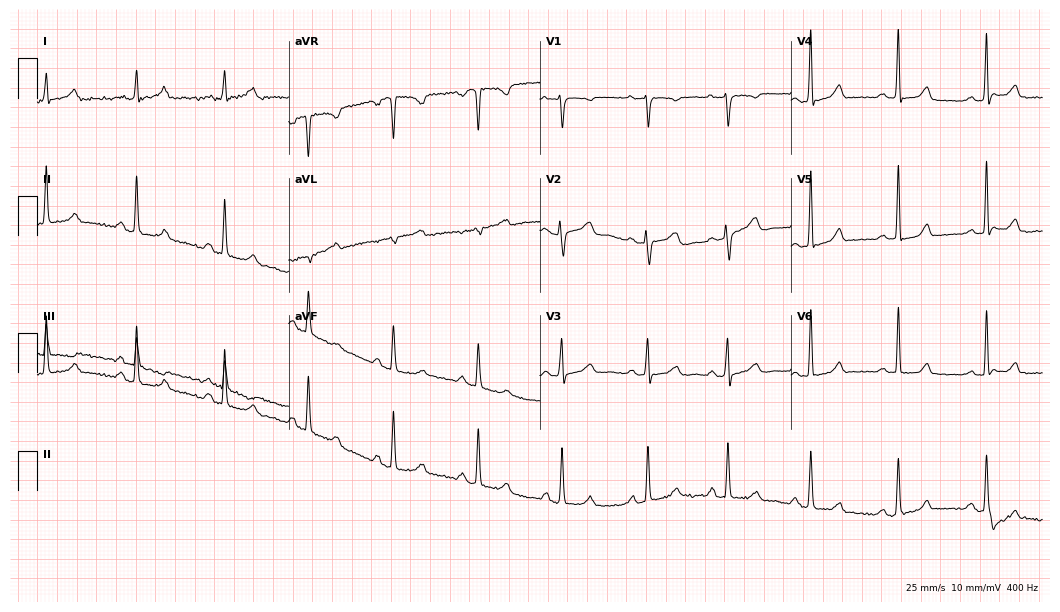
Standard 12-lead ECG recorded from a male patient, 18 years old. Read as a normal ECG.